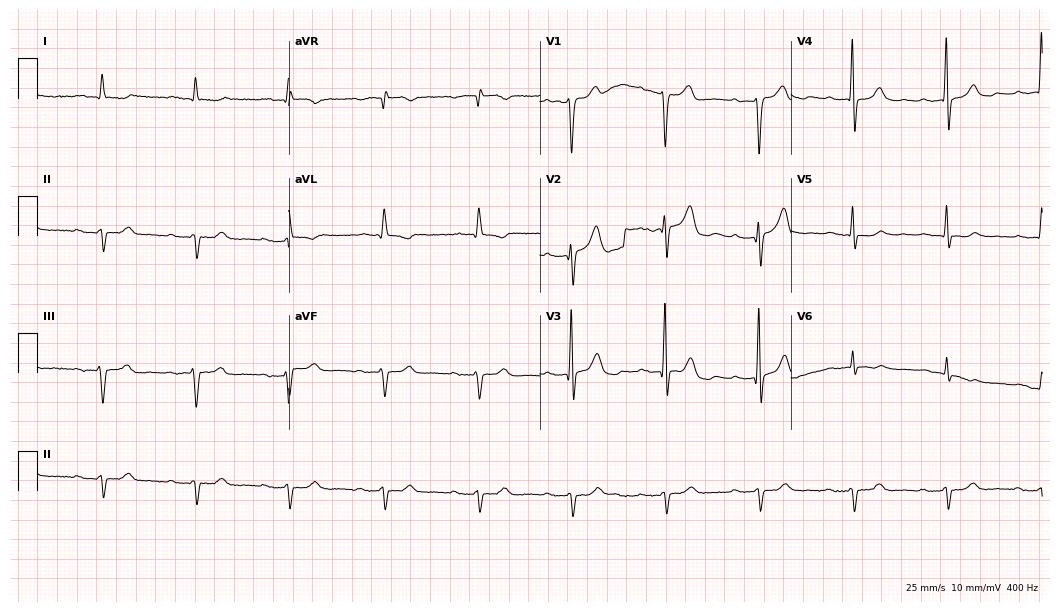
Standard 12-lead ECG recorded from a male, 70 years old (10.2-second recording at 400 Hz). The tracing shows first-degree AV block.